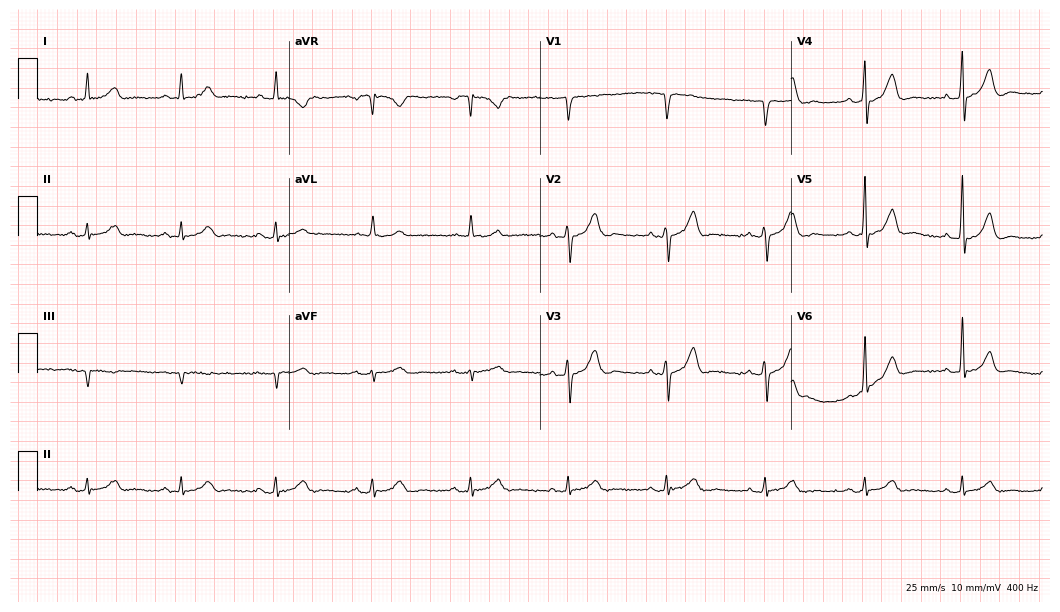
Standard 12-lead ECG recorded from a man, 69 years old (10.2-second recording at 400 Hz). Read as a normal ECG.